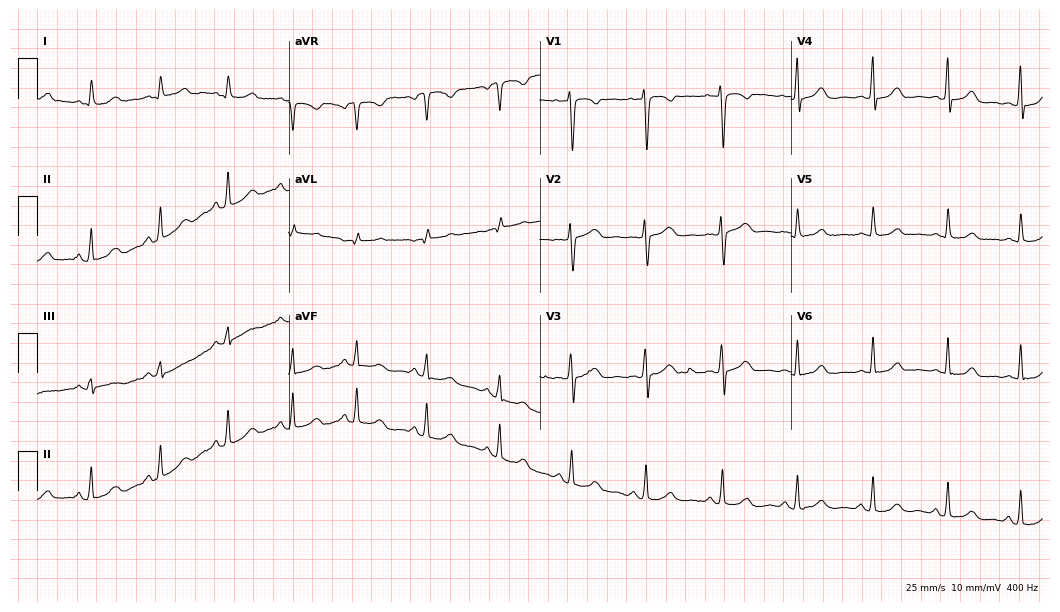
ECG — a female, 40 years old. Labelled as a normal ECG.